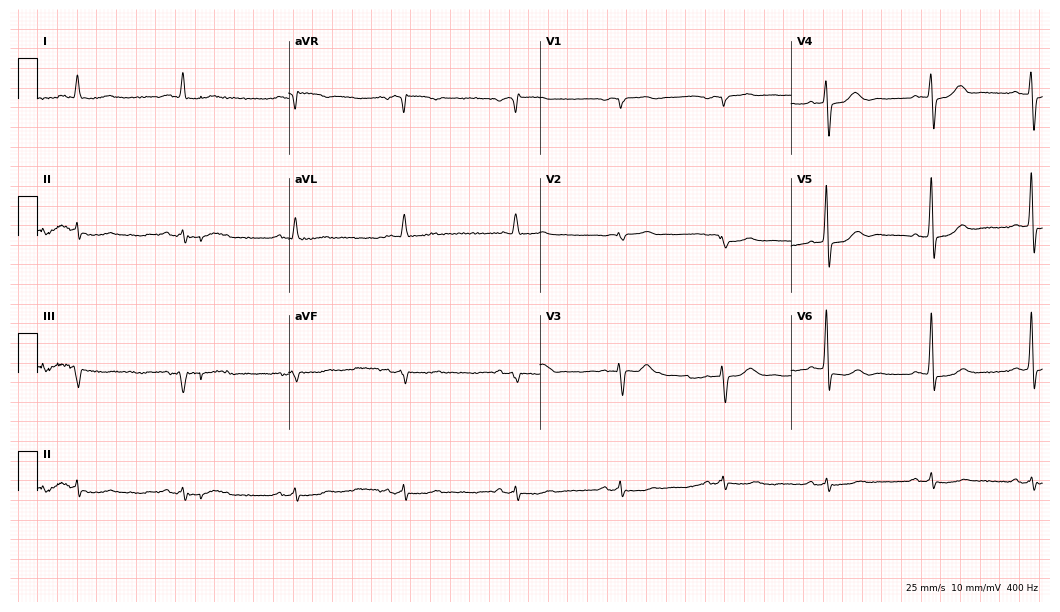
12-lead ECG from a man, 85 years old. No first-degree AV block, right bundle branch block, left bundle branch block, sinus bradycardia, atrial fibrillation or sinus tachycardia recorded for this tracing. Other findings, if any, are not listed.